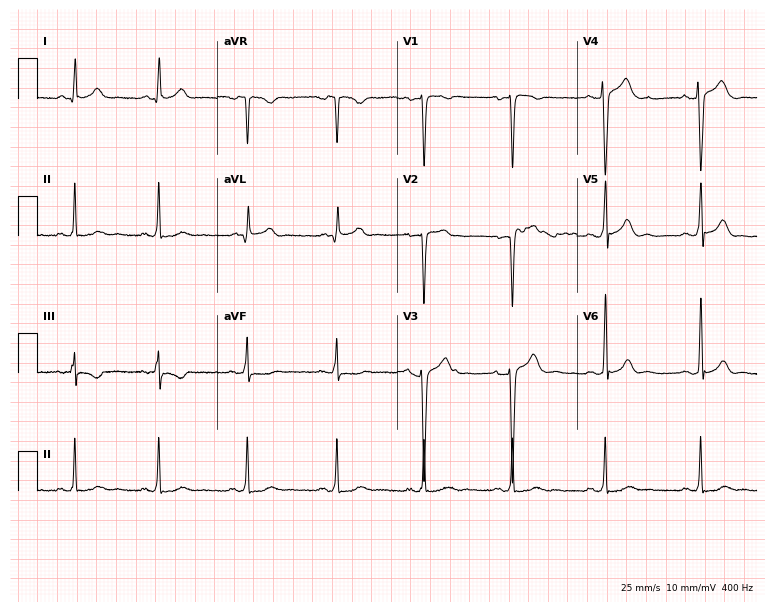
12-lead ECG from a 27-year-old male patient (7.3-second recording at 400 Hz). Recorded interpretation: within normal limits.